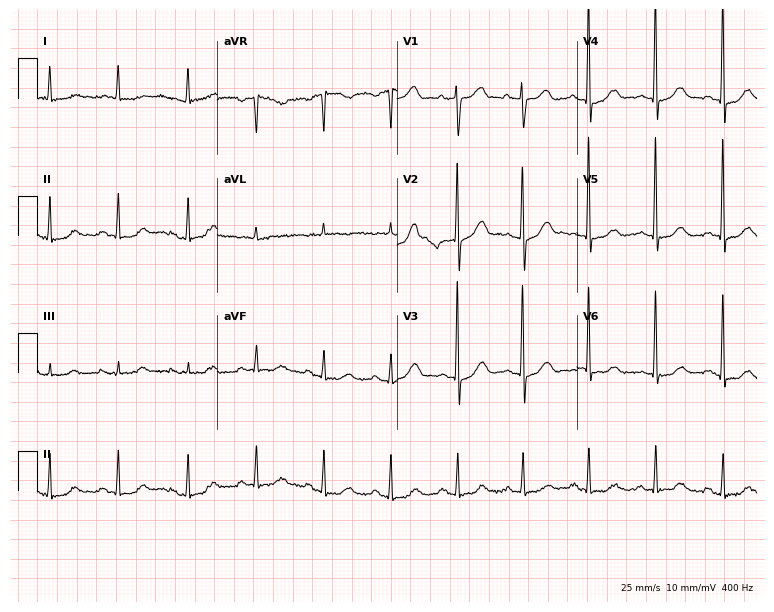
ECG (7.3-second recording at 400 Hz) — a female, 84 years old. Labelled as a normal ECG.